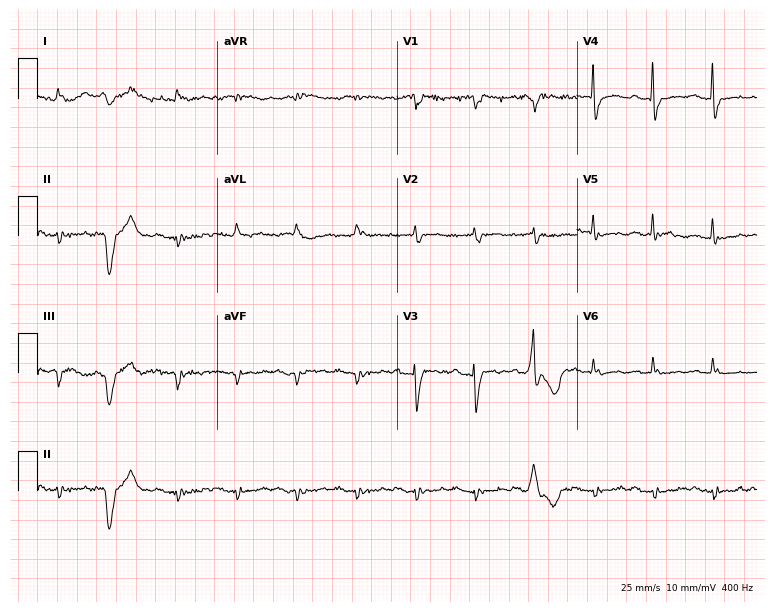
12-lead ECG from a 75-year-old male (7.3-second recording at 400 Hz). No first-degree AV block, right bundle branch block, left bundle branch block, sinus bradycardia, atrial fibrillation or sinus tachycardia recorded for this tracing. Only these six findings were labelled.